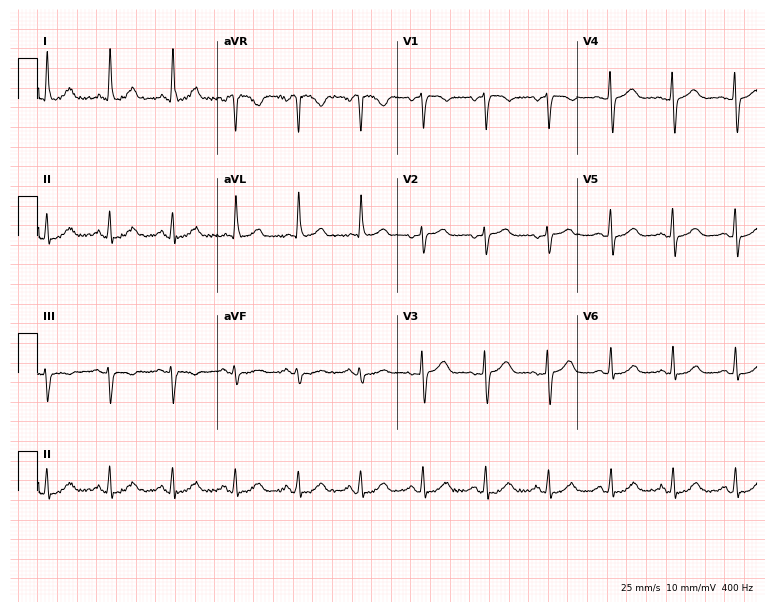
Resting 12-lead electrocardiogram (7.3-second recording at 400 Hz). Patient: a 60-year-old female. Read as a normal ECG.